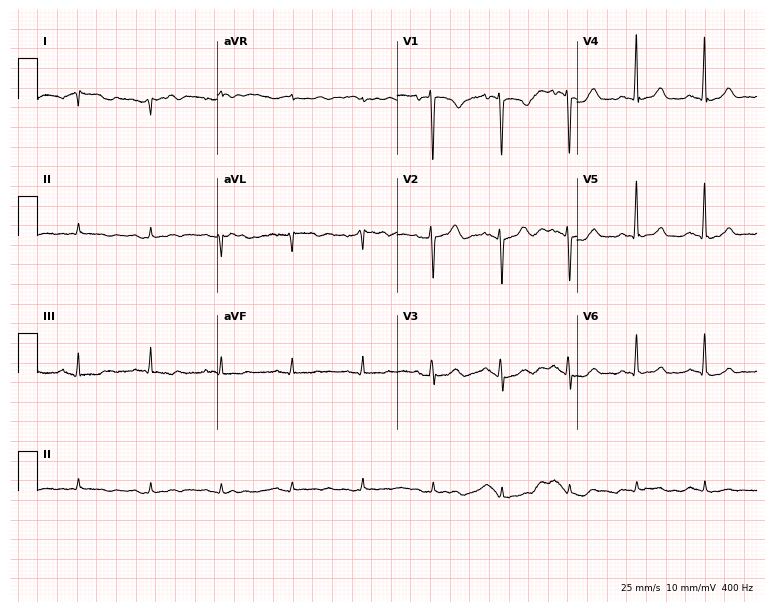
Electrocardiogram, a woman, 69 years old. Of the six screened findings (first-degree AV block, right bundle branch block, left bundle branch block, sinus bradycardia, atrial fibrillation, sinus tachycardia), none is recorded. Other findings, if any, are not listed.